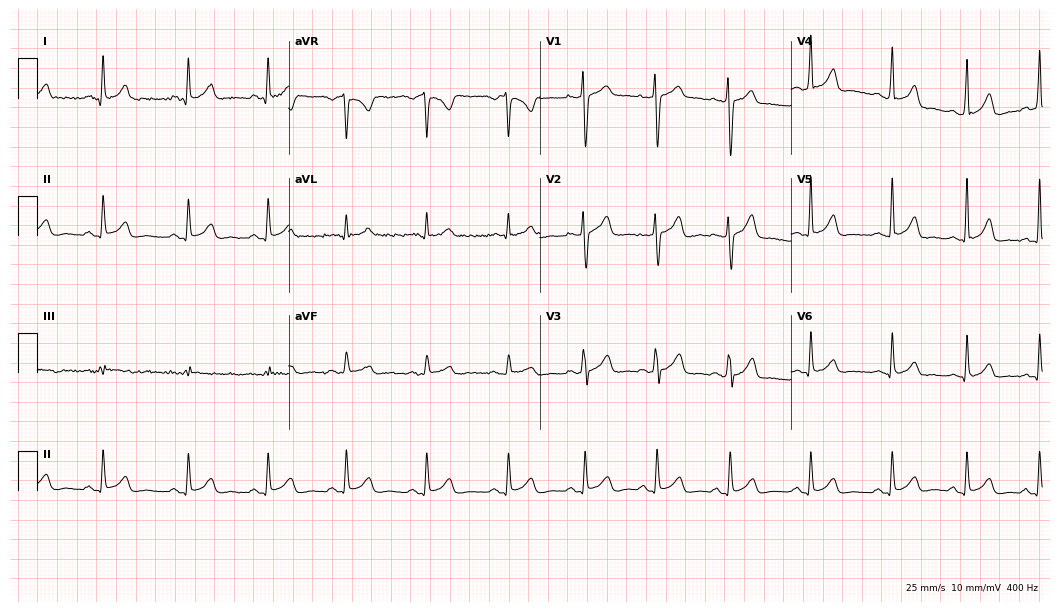
Electrocardiogram (10.2-second recording at 400 Hz), a 30-year-old female. Overall reading on record: normal ECG.